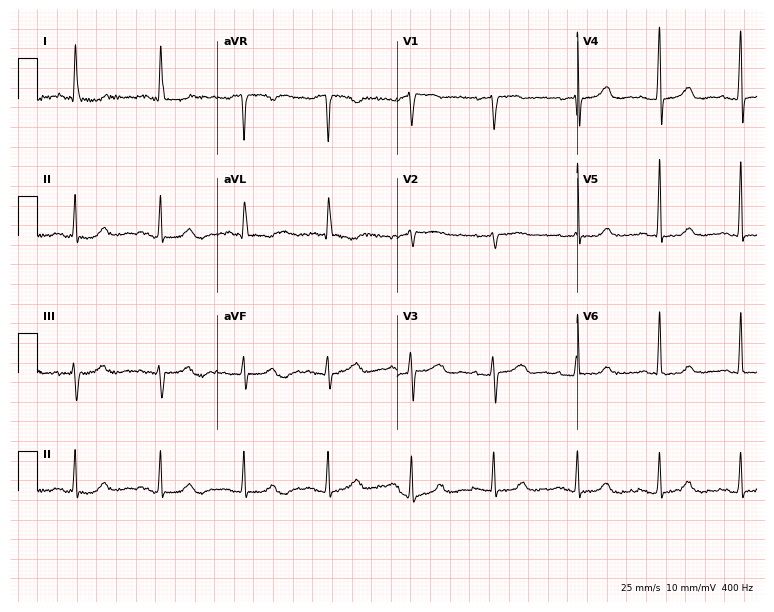
Electrocardiogram (7.3-second recording at 400 Hz), a female, 66 years old. Of the six screened findings (first-degree AV block, right bundle branch block (RBBB), left bundle branch block (LBBB), sinus bradycardia, atrial fibrillation (AF), sinus tachycardia), none is recorded.